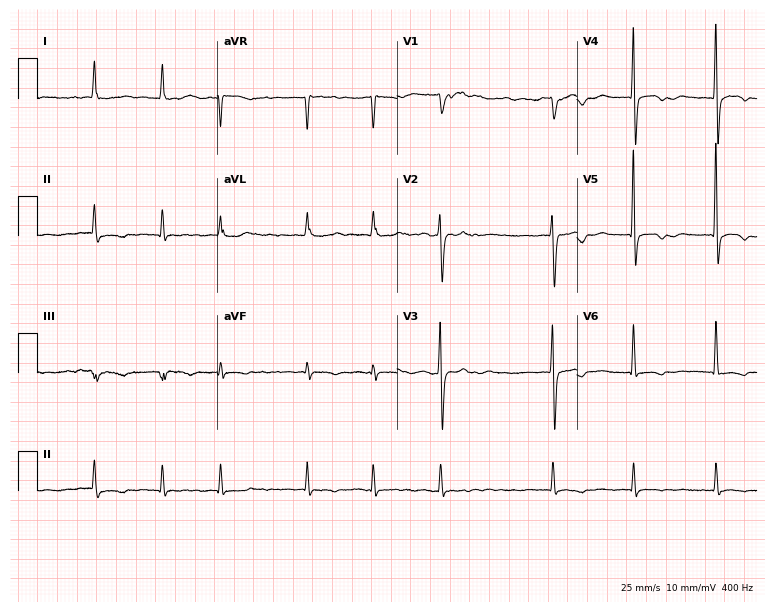
Electrocardiogram (7.3-second recording at 400 Hz), an 81-year-old female. Interpretation includes atrial fibrillation (AF).